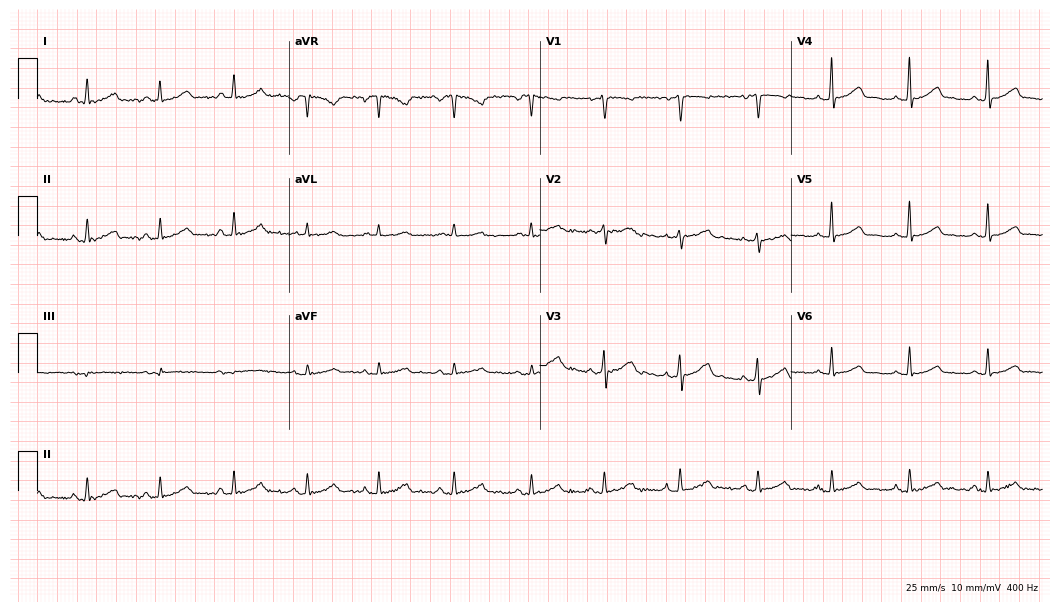
Resting 12-lead electrocardiogram. Patient: a woman, 43 years old. Read as a normal ECG.